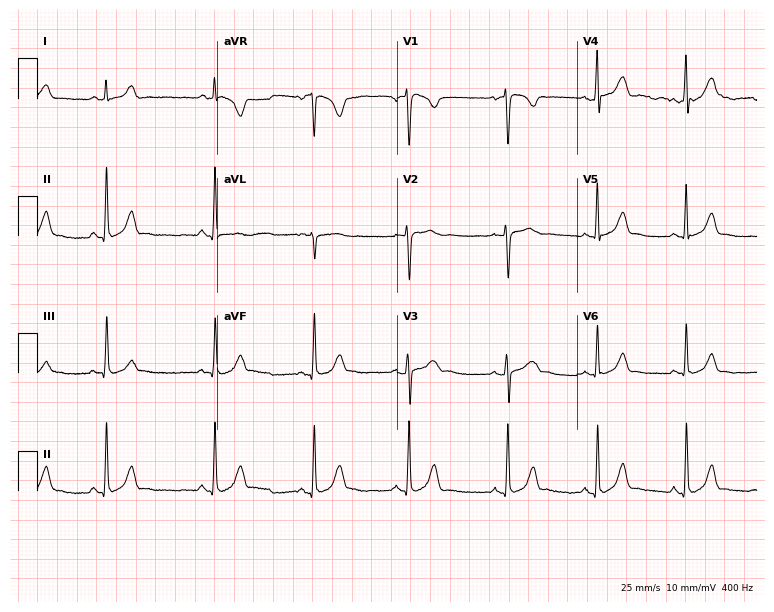
Resting 12-lead electrocardiogram (7.3-second recording at 400 Hz). Patient: a 27-year-old woman. Read as a normal ECG.